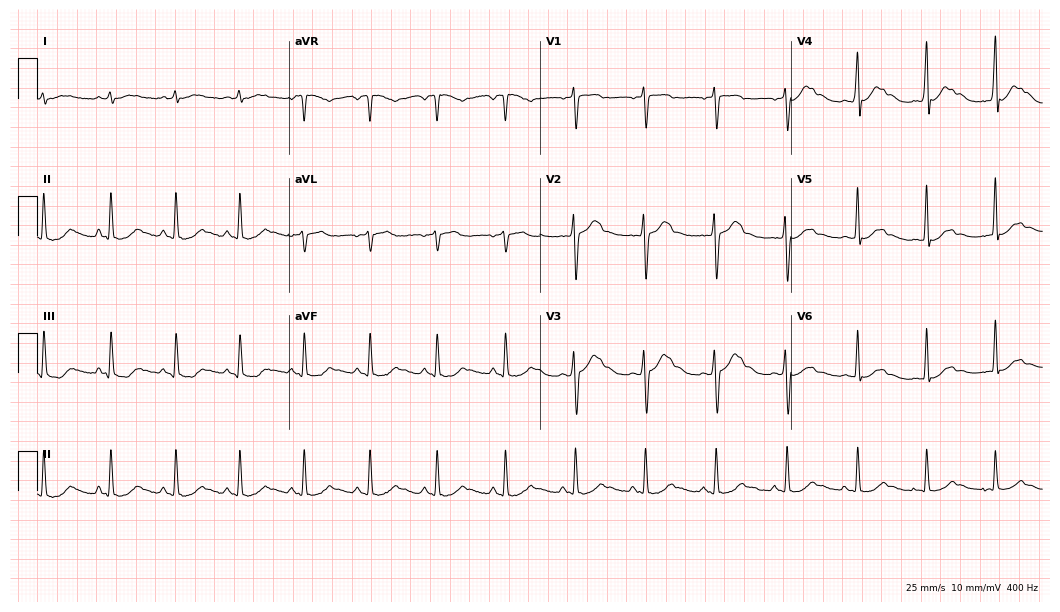
12-lead ECG from a 22-year-old man. No first-degree AV block, right bundle branch block (RBBB), left bundle branch block (LBBB), sinus bradycardia, atrial fibrillation (AF) or sinus tachycardia recorded for this tracing.